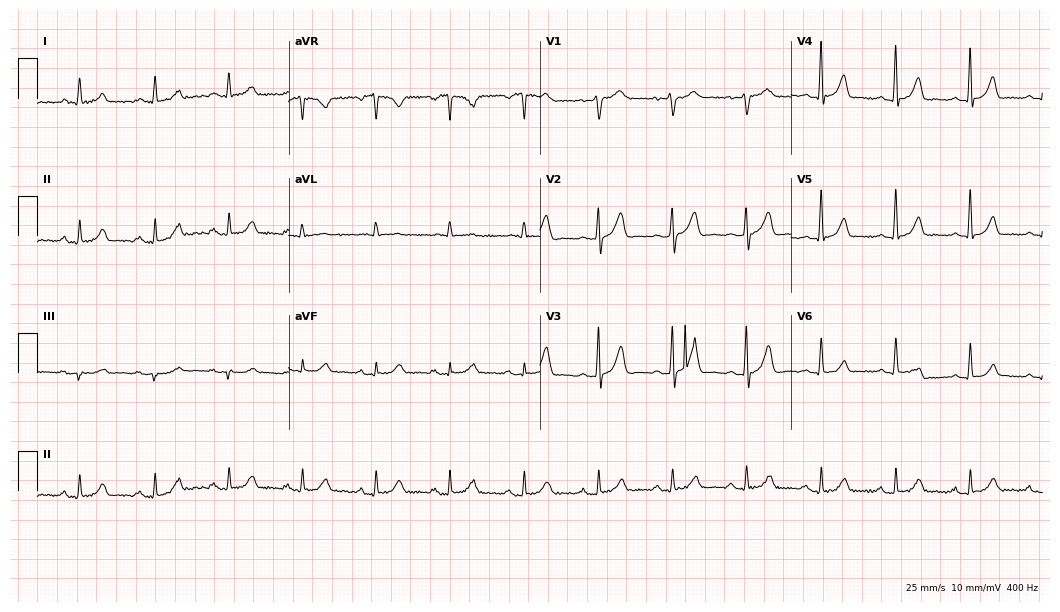
Electrocardiogram (10.2-second recording at 400 Hz), a female patient, 59 years old. Overall reading on record: normal ECG.